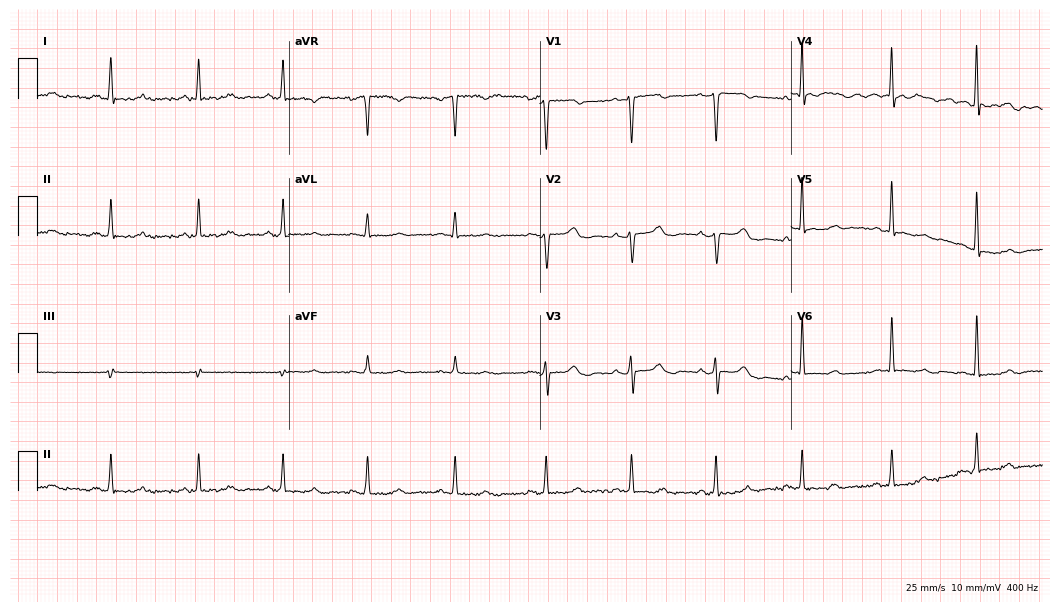
12-lead ECG (10.2-second recording at 400 Hz) from a female, 48 years old. Screened for six findings — first-degree AV block, right bundle branch block, left bundle branch block, sinus bradycardia, atrial fibrillation, sinus tachycardia — none is recorded.